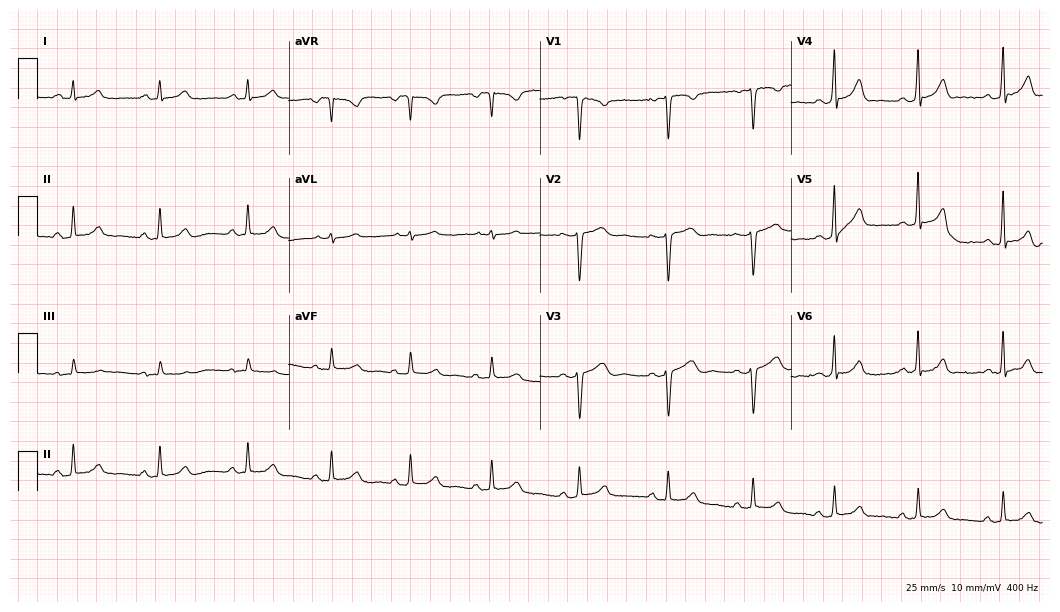
Standard 12-lead ECG recorded from a woman, 28 years old. Read as a normal ECG.